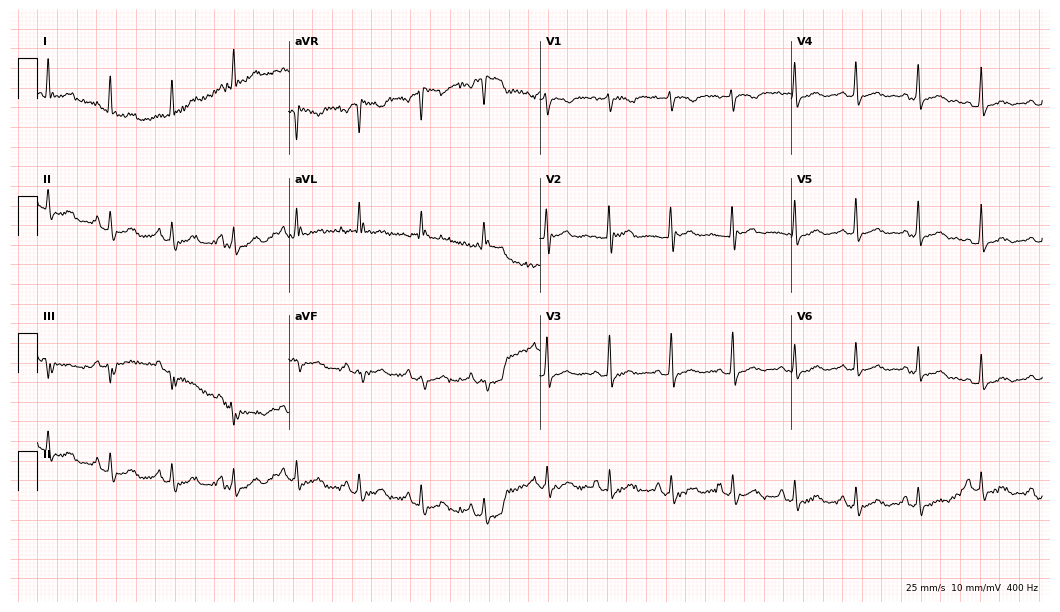
12-lead ECG from a 35-year-old female. Recorded interpretation: within normal limits.